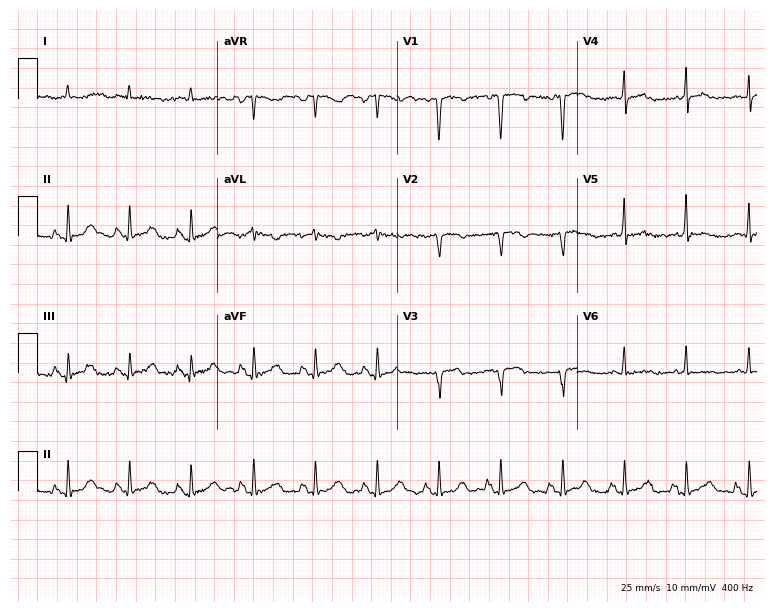
12-lead ECG from a male, 73 years old (7.3-second recording at 400 Hz). No first-degree AV block, right bundle branch block, left bundle branch block, sinus bradycardia, atrial fibrillation or sinus tachycardia recorded for this tracing. Findings outside these six are not listed.